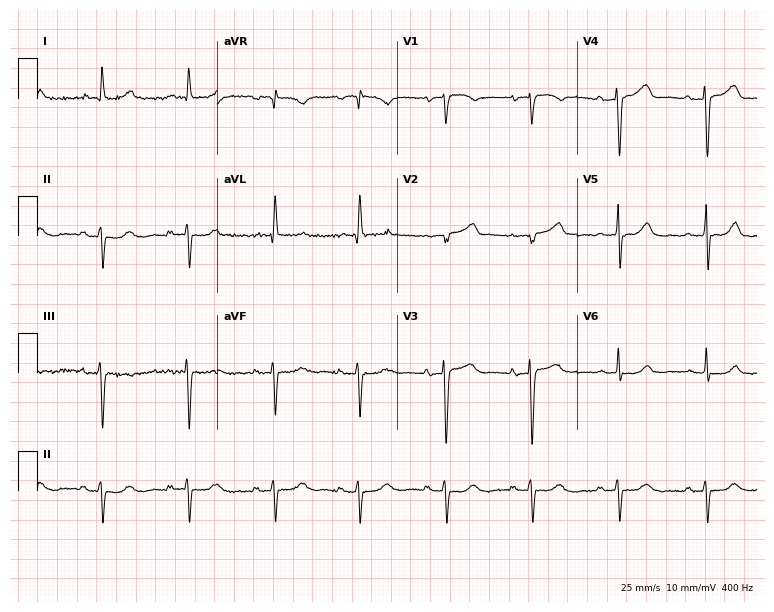
12-lead ECG (7.3-second recording at 400 Hz) from a woman, 78 years old. Screened for six findings — first-degree AV block, right bundle branch block, left bundle branch block, sinus bradycardia, atrial fibrillation, sinus tachycardia — none is recorded. Only these six findings were labelled.